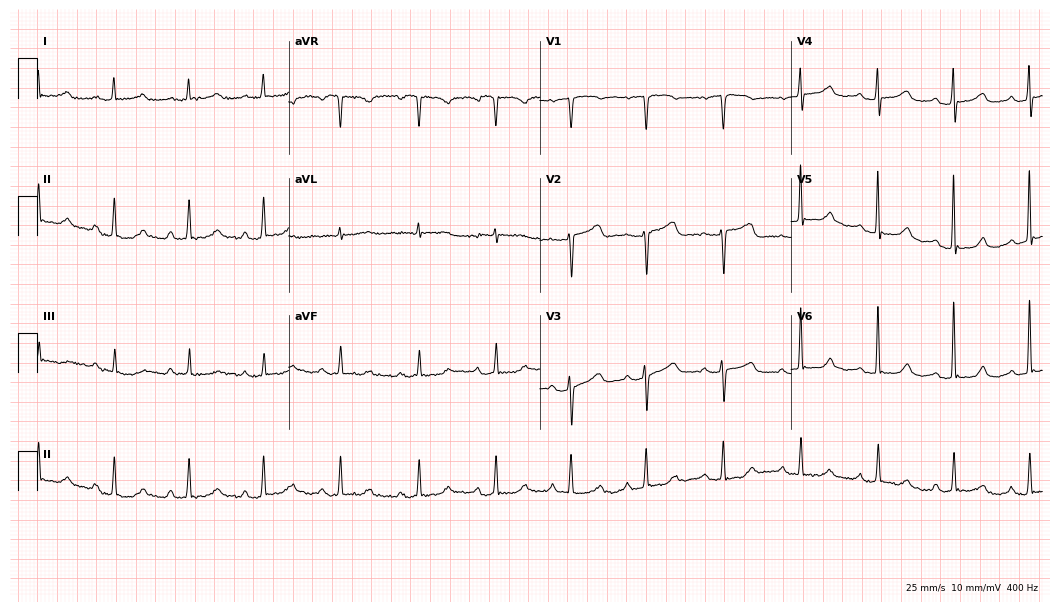
Electrocardiogram, a woman, 75 years old. Overall reading on record: normal ECG.